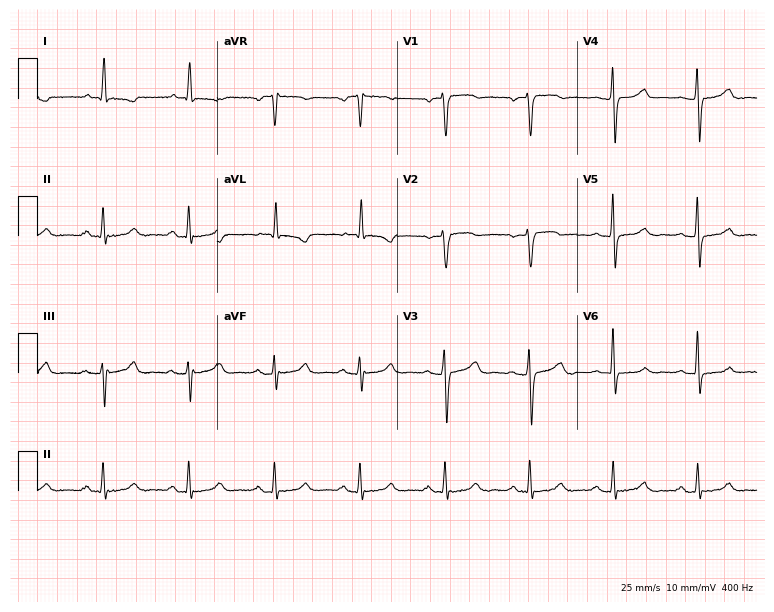
Electrocardiogram (7.3-second recording at 400 Hz), a female, 61 years old. Of the six screened findings (first-degree AV block, right bundle branch block (RBBB), left bundle branch block (LBBB), sinus bradycardia, atrial fibrillation (AF), sinus tachycardia), none is recorded.